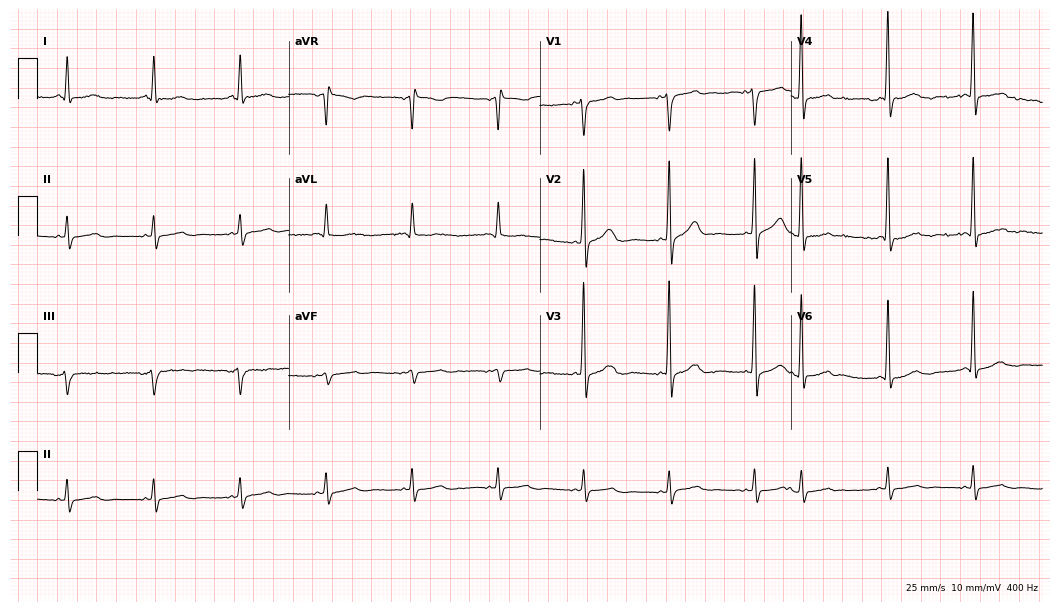
Standard 12-lead ECG recorded from a 73-year-old male patient. None of these six findings is recorded: first-degree AV block, right bundle branch block, left bundle branch block, sinus bradycardia, atrial fibrillation, sinus tachycardia. Only these six findings were labelled.